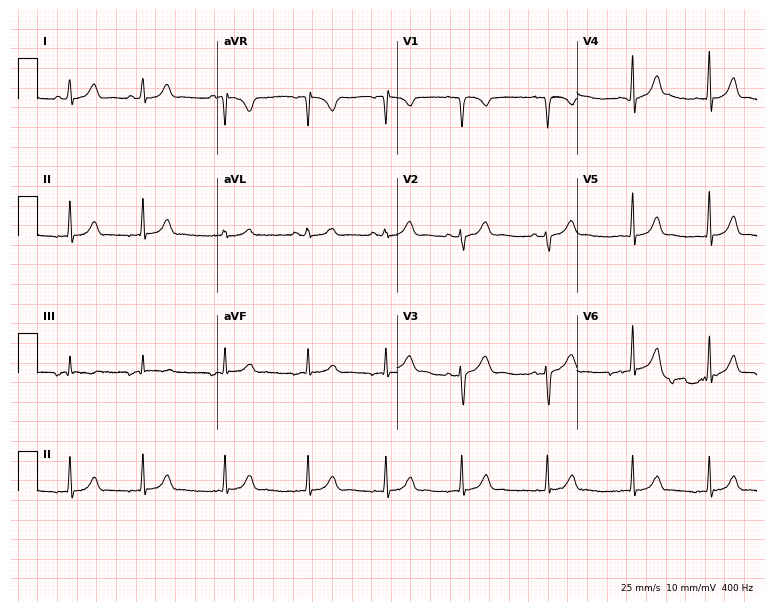
Electrocardiogram (7.3-second recording at 400 Hz), an 18-year-old woman. Overall reading on record: normal ECG.